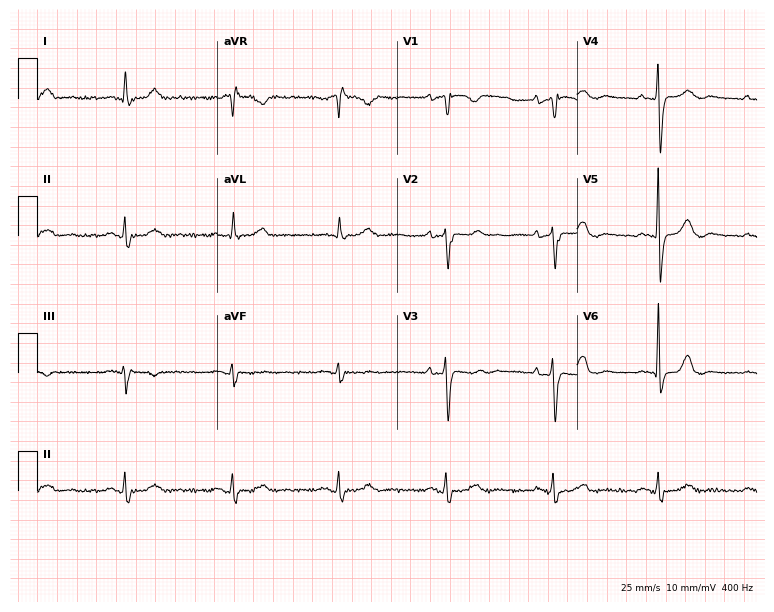
12-lead ECG from a woman, 77 years old. No first-degree AV block, right bundle branch block, left bundle branch block, sinus bradycardia, atrial fibrillation or sinus tachycardia recorded for this tracing.